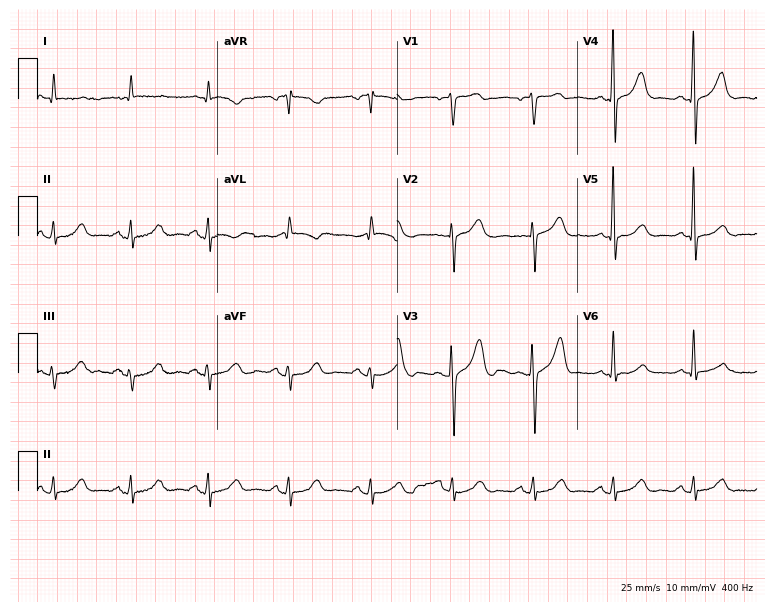
ECG — a 69-year-old male patient. Screened for six findings — first-degree AV block, right bundle branch block, left bundle branch block, sinus bradycardia, atrial fibrillation, sinus tachycardia — none is recorded. Other findings, if any, are not listed.